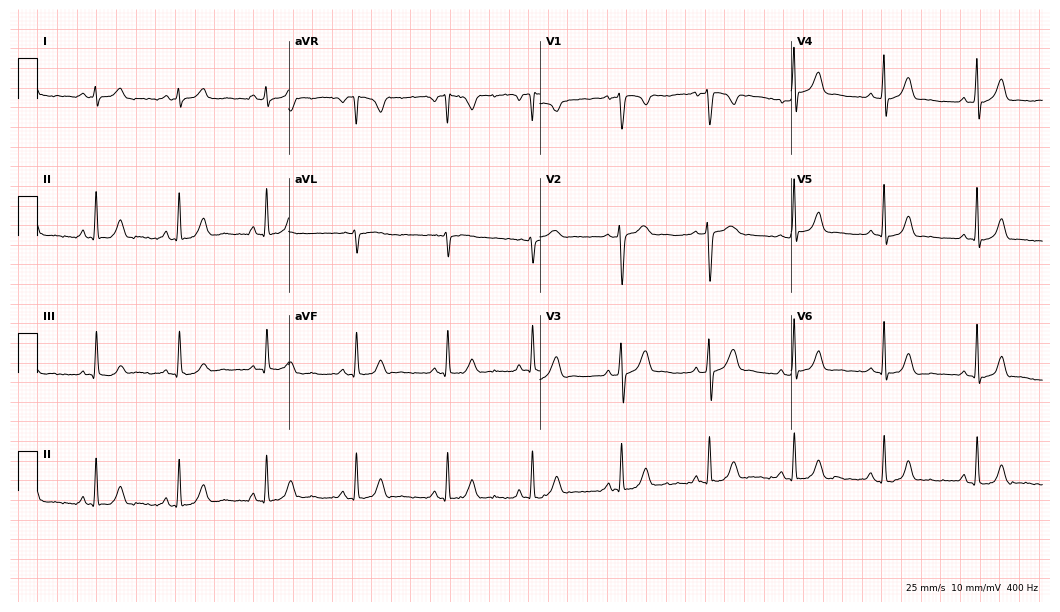
ECG — a woman, 24 years old. Labelled as a normal ECG.